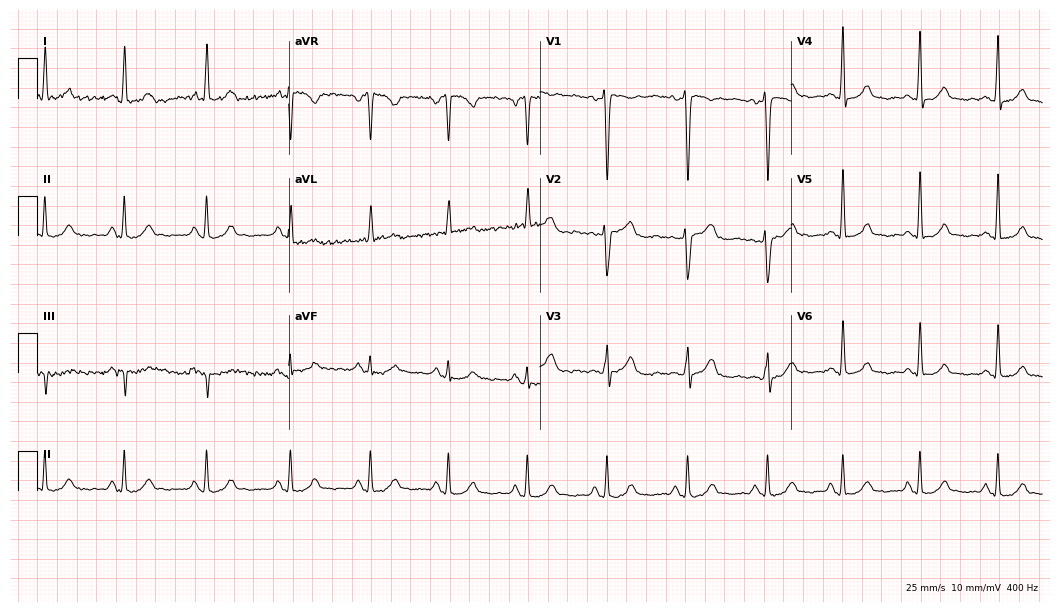
Resting 12-lead electrocardiogram (10.2-second recording at 400 Hz). Patient: a 44-year-old woman. None of these six findings is recorded: first-degree AV block, right bundle branch block, left bundle branch block, sinus bradycardia, atrial fibrillation, sinus tachycardia.